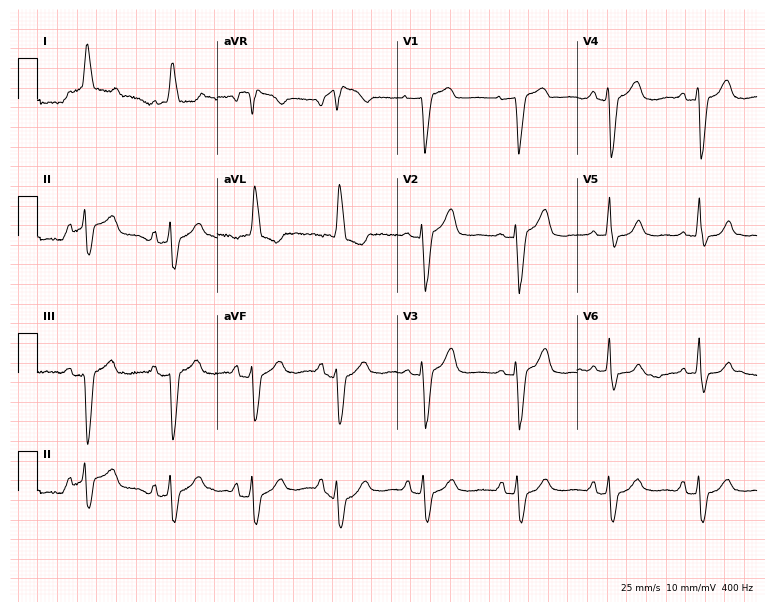
Resting 12-lead electrocardiogram. Patient: a woman, 76 years old. The tracing shows left bundle branch block (LBBB).